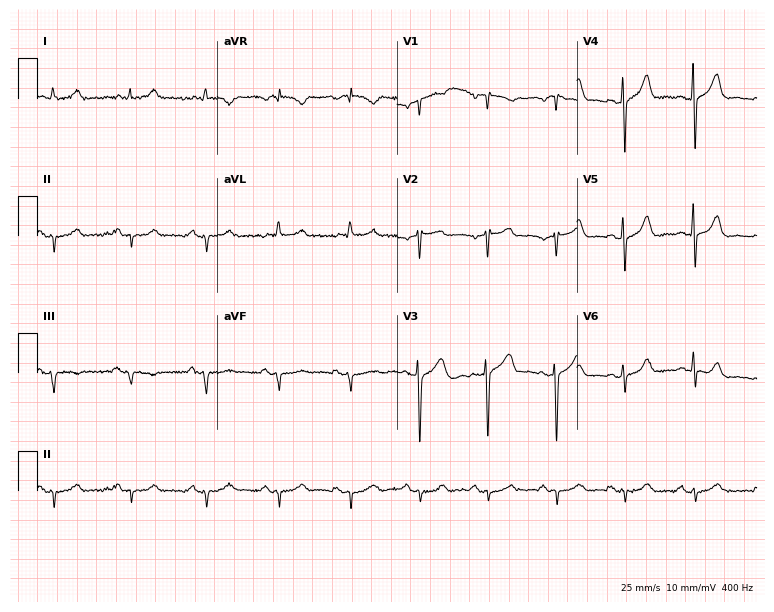
Standard 12-lead ECG recorded from a 71-year-old man. None of these six findings is recorded: first-degree AV block, right bundle branch block (RBBB), left bundle branch block (LBBB), sinus bradycardia, atrial fibrillation (AF), sinus tachycardia.